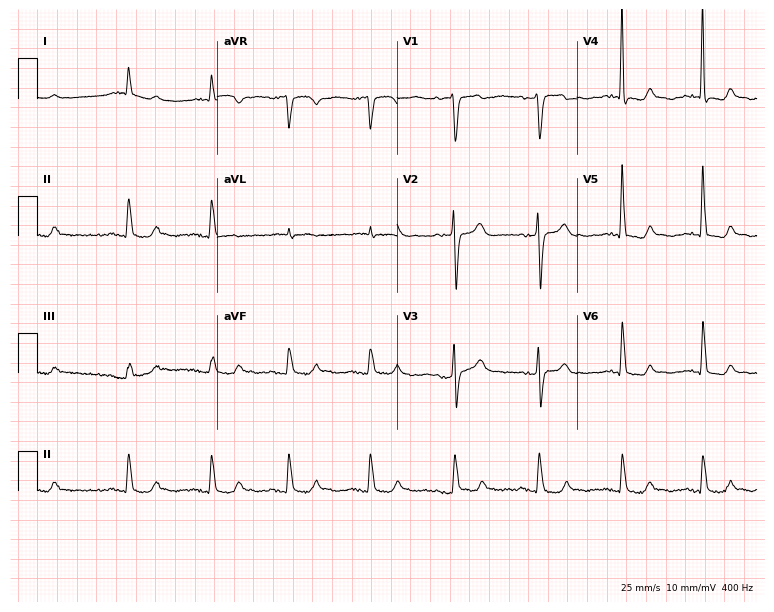
Electrocardiogram, a 66-year-old female. Overall reading on record: normal ECG.